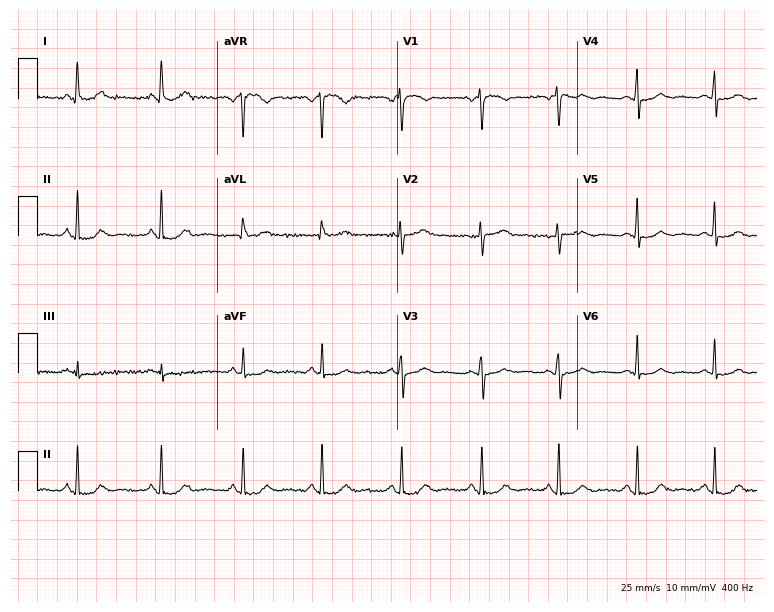
ECG — a 58-year-old woman. Labelled as a normal ECG.